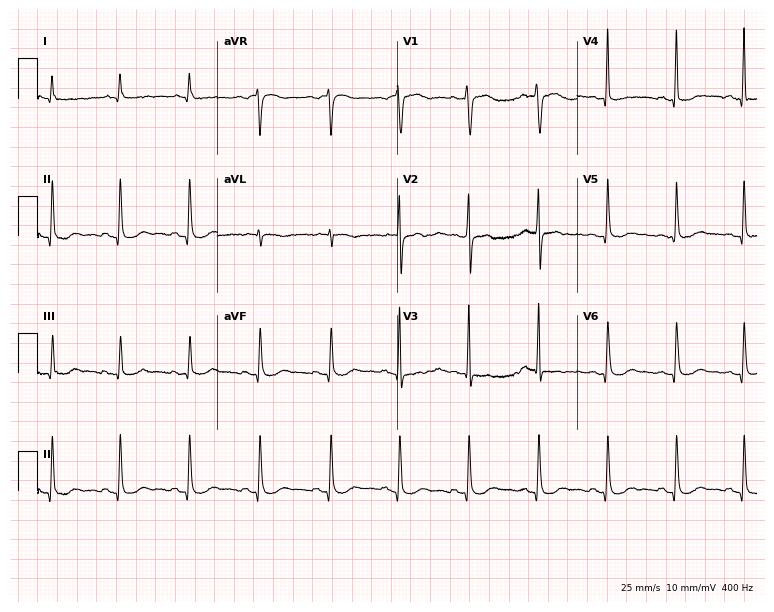
12-lead ECG from a man, 52 years old. Labelled as a normal ECG.